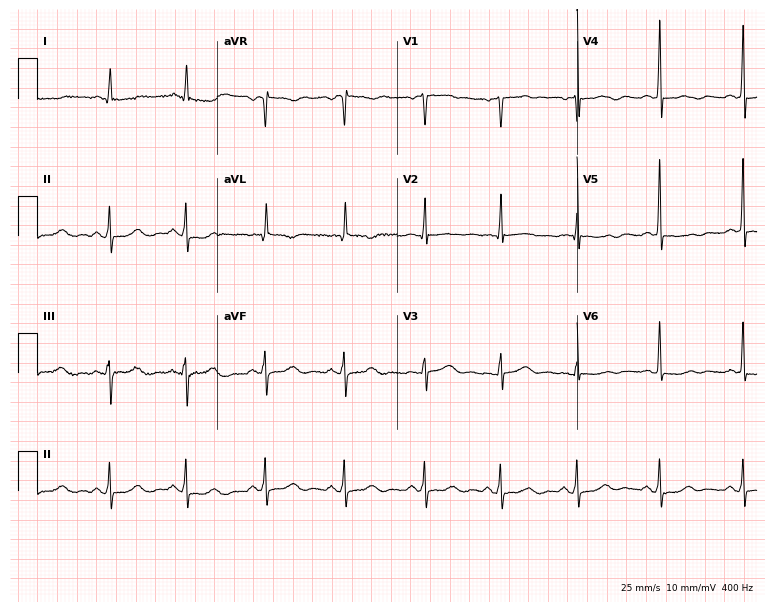
12-lead ECG (7.3-second recording at 400 Hz) from a 47-year-old female. Screened for six findings — first-degree AV block, right bundle branch block, left bundle branch block, sinus bradycardia, atrial fibrillation, sinus tachycardia — none is recorded. Only these six findings were labelled.